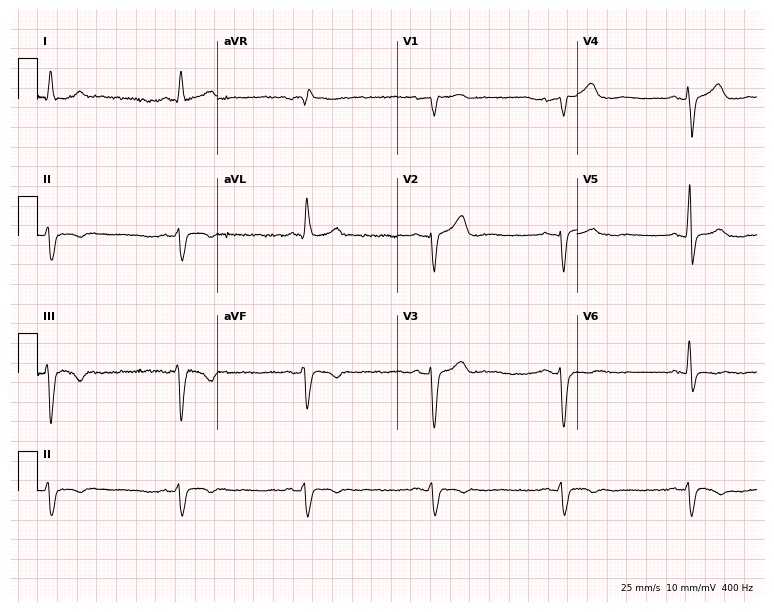
Standard 12-lead ECG recorded from a 65-year-old male. The tracing shows left bundle branch block (LBBB), sinus bradycardia (a sinus rate of 50 beats per minute or less).